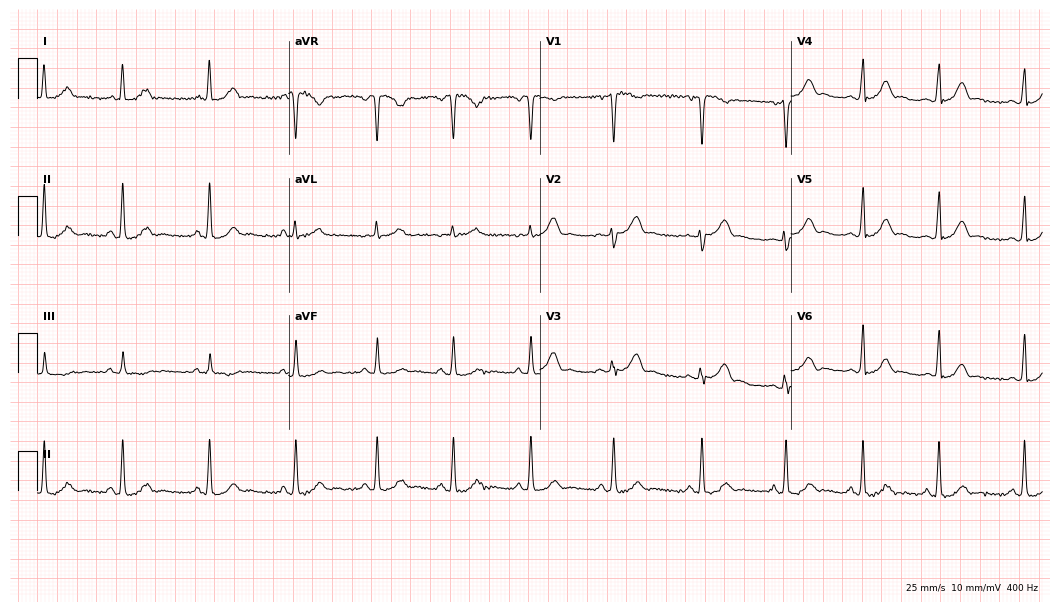
Standard 12-lead ECG recorded from a woman, 26 years old. Read as a normal ECG.